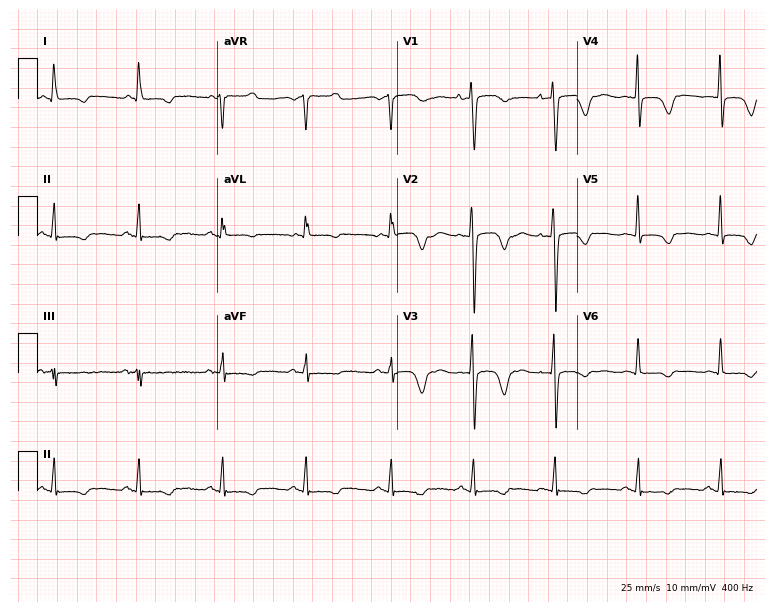
12-lead ECG from a 54-year-old woman (7.3-second recording at 400 Hz). No first-degree AV block, right bundle branch block (RBBB), left bundle branch block (LBBB), sinus bradycardia, atrial fibrillation (AF) or sinus tachycardia recorded for this tracing.